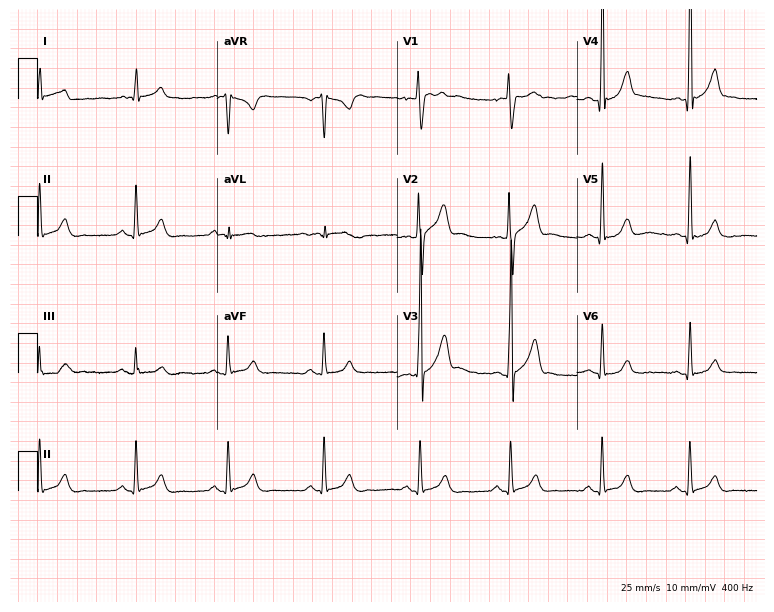
12-lead ECG from a 19-year-old male. Screened for six findings — first-degree AV block, right bundle branch block, left bundle branch block, sinus bradycardia, atrial fibrillation, sinus tachycardia — none is recorded. Only these six findings were labelled.